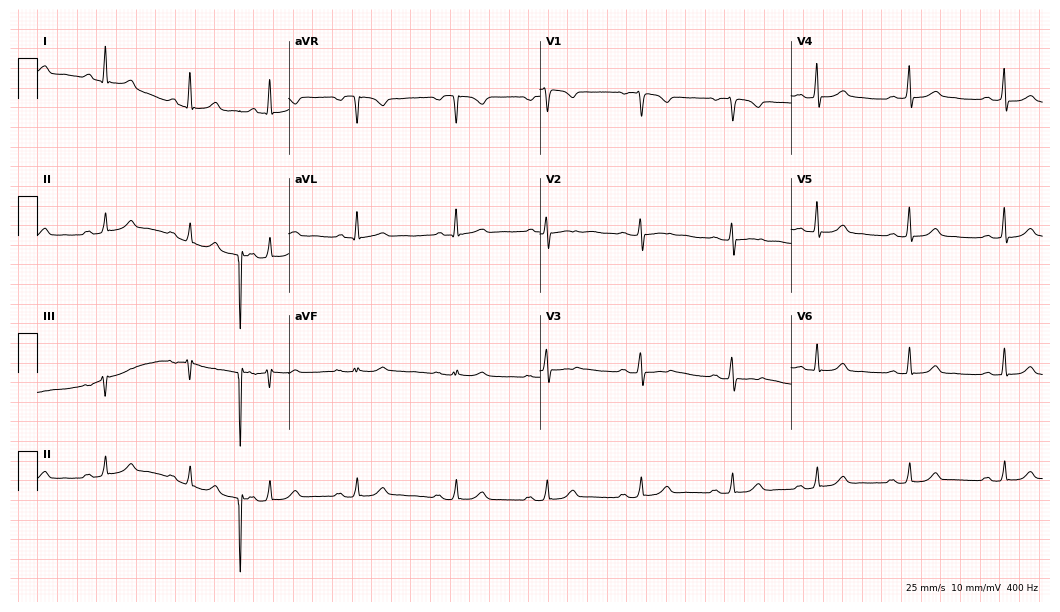
Electrocardiogram (10.2-second recording at 400 Hz), a woman, 26 years old. Overall reading on record: normal ECG.